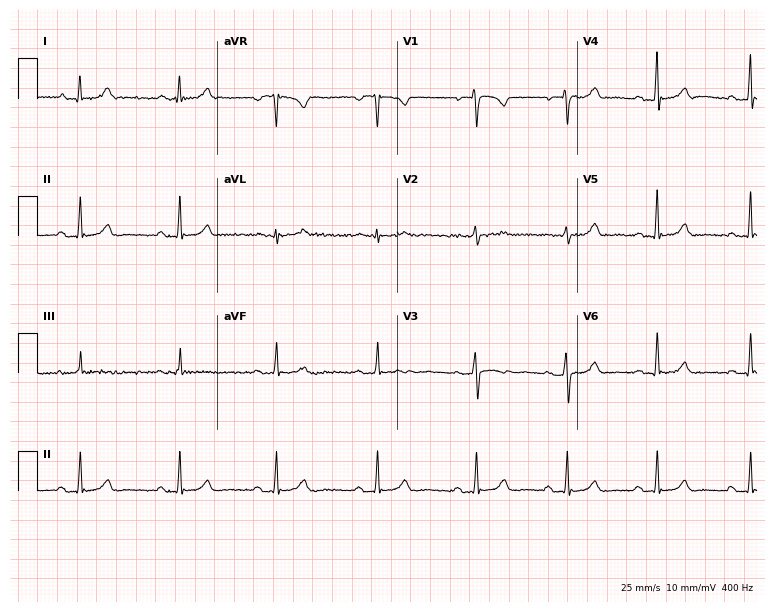
12-lead ECG (7.3-second recording at 400 Hz) from a 37-year-old woman. Labelled as a normal ECG.